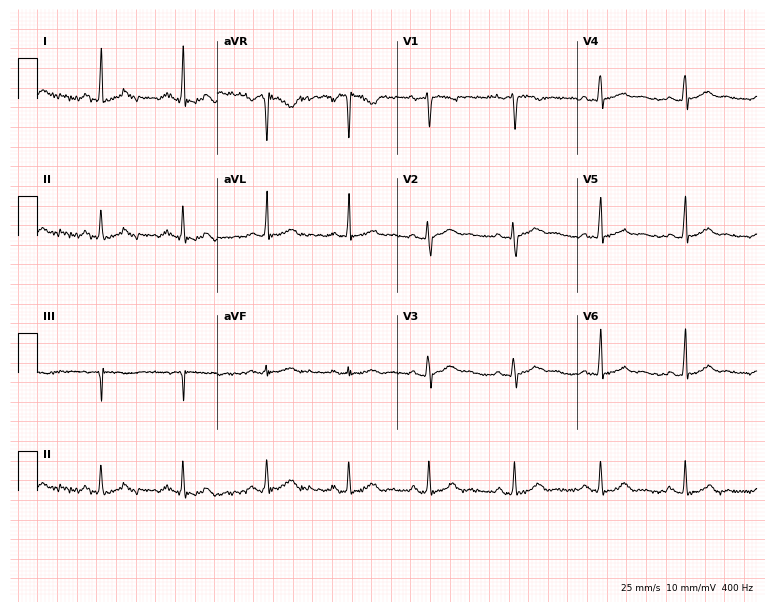
Resting 12-lead electrocardiogram. Patient: a 21-year-old woman. Read as a normal ECG.